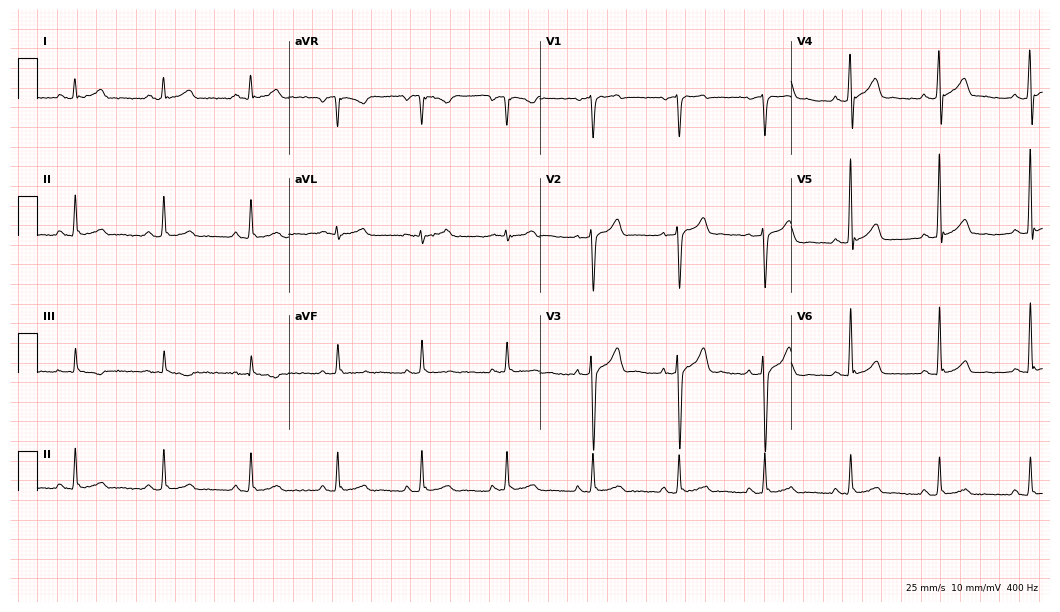
Electrocardiogram, a 52-year-old male patient. Of the six screened findings (first-degree AV block, right bundle branch block, left bundle branch block, sinus bradycardia, atrial fibrillation, sinus tachycardia), none is recorded.